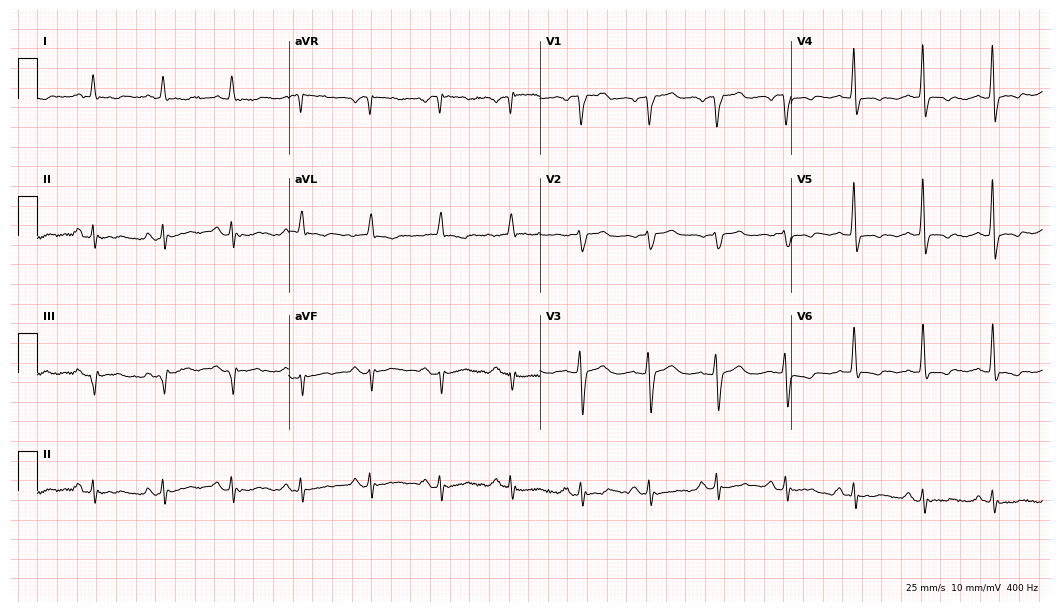
Resting 12-lead electrocardiogram (10.2-second recording at 400 Hz). Patient: a 68-year-old man. None of these six findings is recorded: first-degree AV block, right bundle branch block, left bundle branch block, sinus bradycardia, atrial fibrillation, sinus tachycardia.